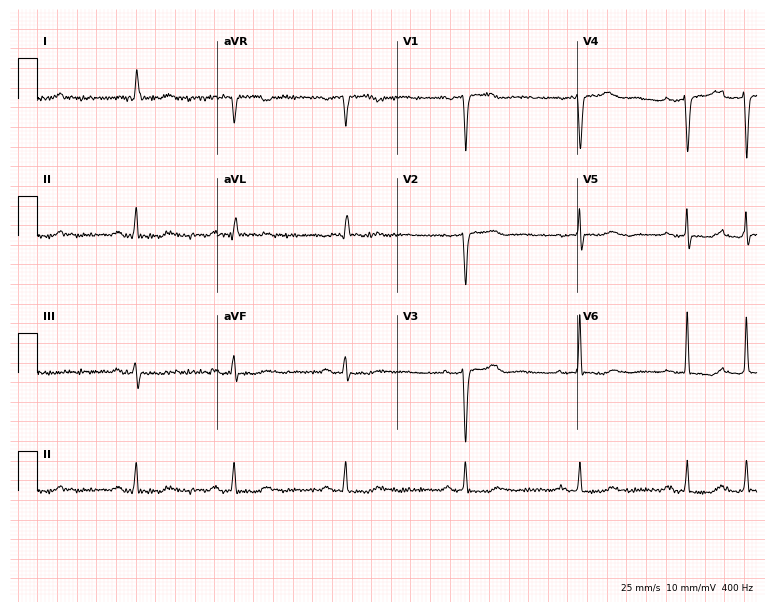
Standard 12-lead ECG recorded from a female patient, 73 years old (7.3-second recording at 400 Hz). None of these six findings is recorded: first-degree AV block, right bundle branch block (RBBB), left bundle branch block (LBBB), sinus bradycardia, atrial fibrillation (AF), sinus tachycardia.